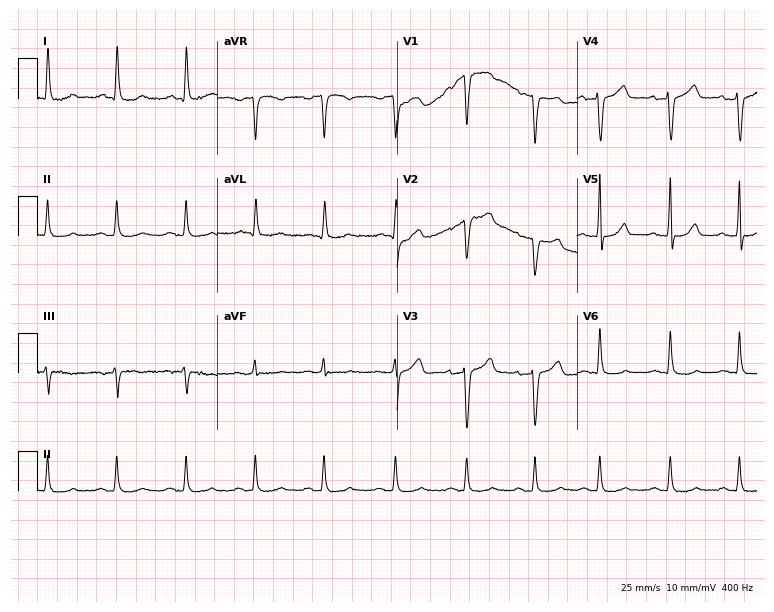
12-lead ECG from a female patient, 54 years old. Screened for six findings — first-degree AV block, right bundle branch block (RBBB), left bundle branch block (LBBB), sinus bradycardia, atrial fibrillation (AF), sinus tachycardia — none is recorded. Only these six findings were labelled.